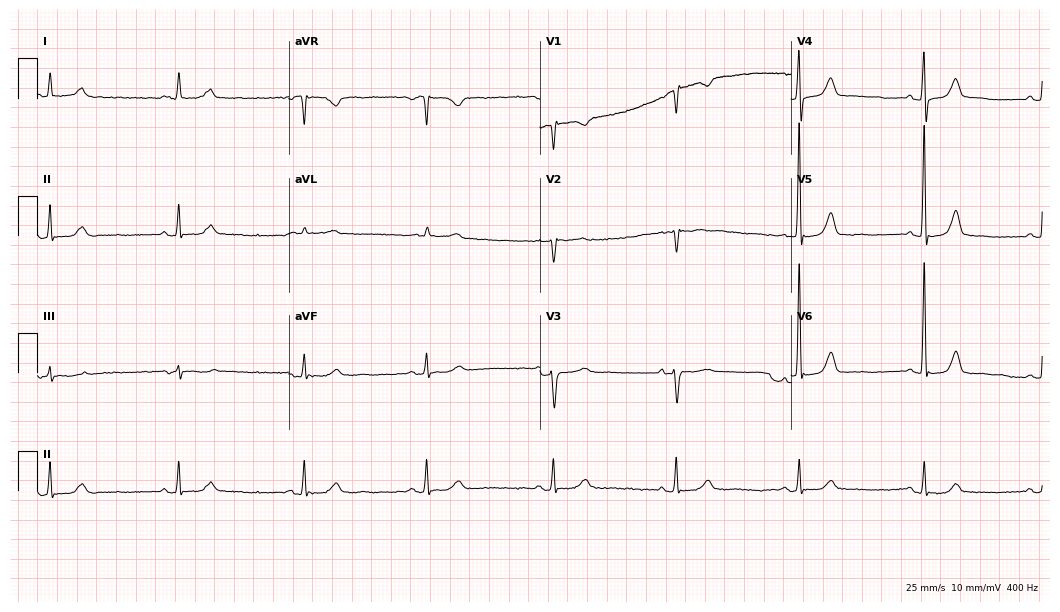
12-lead ECG from a 76-year-old woman. Findings include sinus bradycardia (a sinus rate of 50 beats per minute or less).